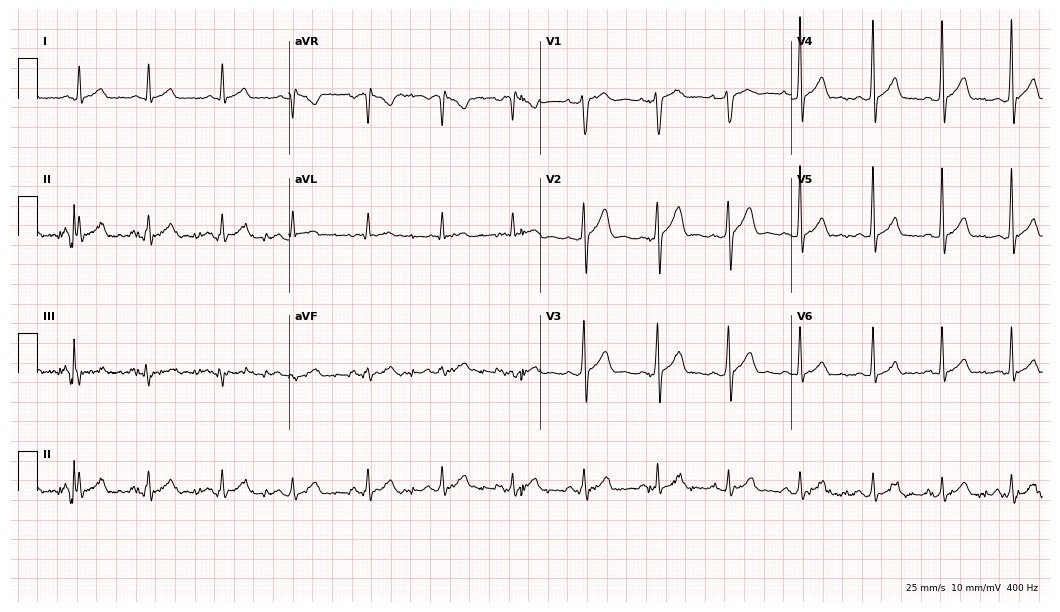
12-lead ECG from a man, 30 years old. Labelled as a normal ECG.